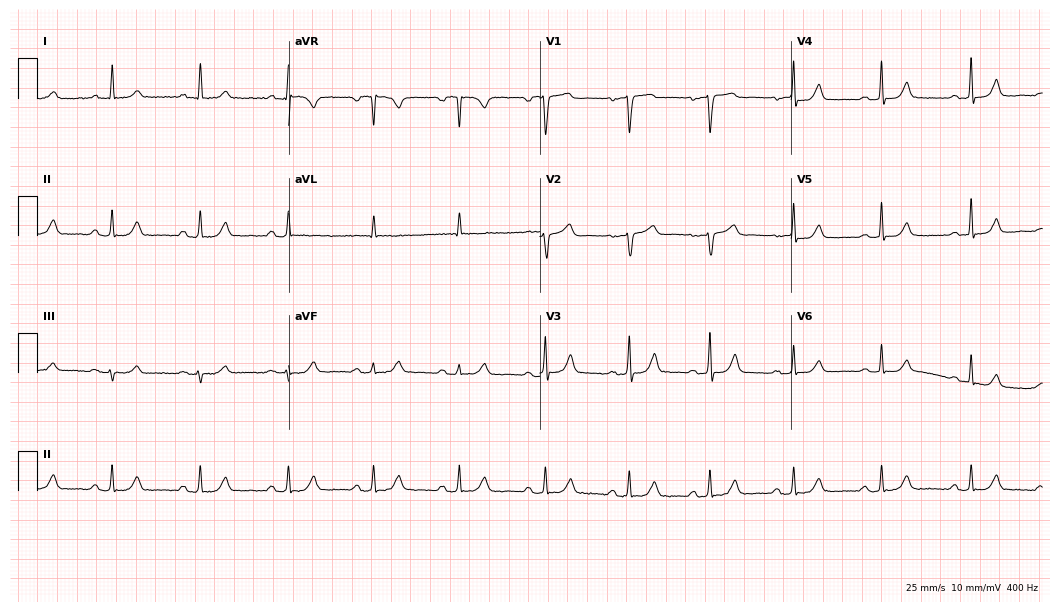
ECG — a female patient, 68 years old. Screened for six findings — first-degree AV block, right bundle branch block, left bundle branch block, sinus bradycardia, atrial fibrillation, sinus tachycardia — none is recorded.